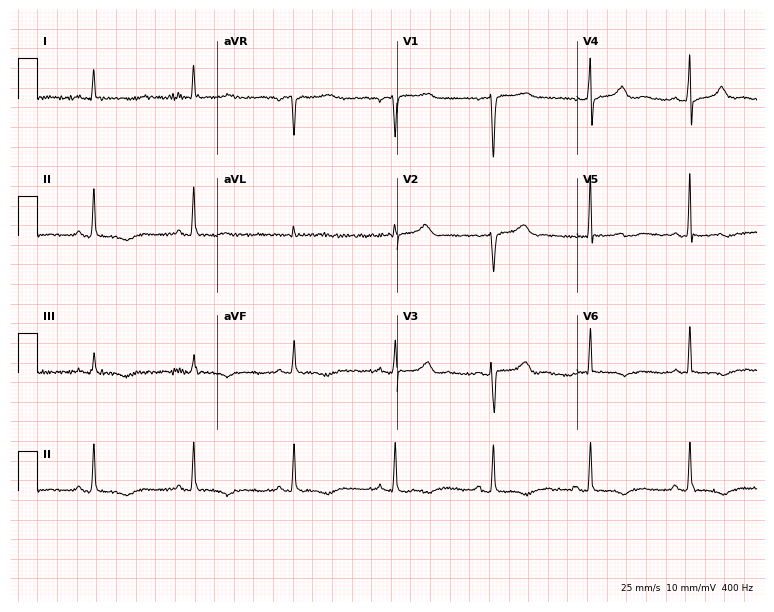
Standard 12-lead ECG recorded from a 52-year-old woman (7.3-second recording at 400 Hz). None of these six findings is recorded: first-degree AV block, right bundle branch block, left bundle branch block, sinus bradycardia, atrial fibrillation, sinus tachycardia. Only these six findings were labelled.